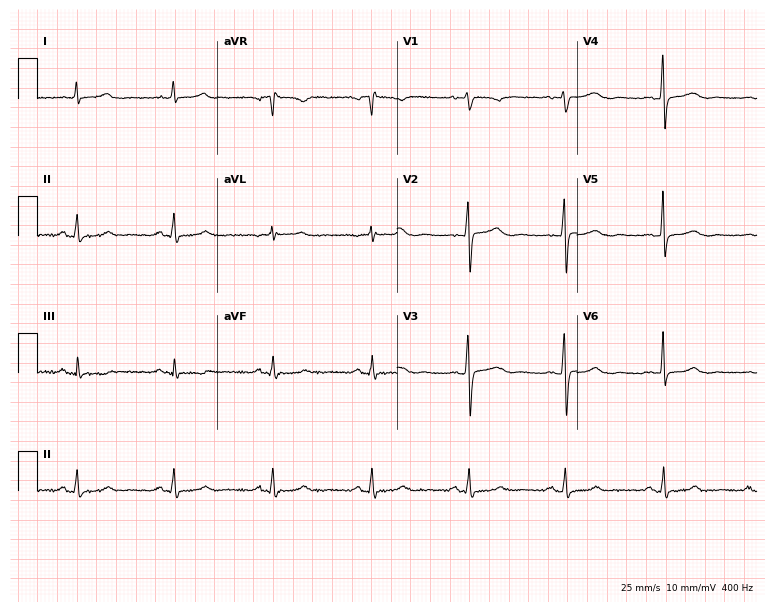
Standard 12-lead ECG recorded from a female patient, 38 years old (7.3-second recording at 400 Hz). Read as a normal ECG.